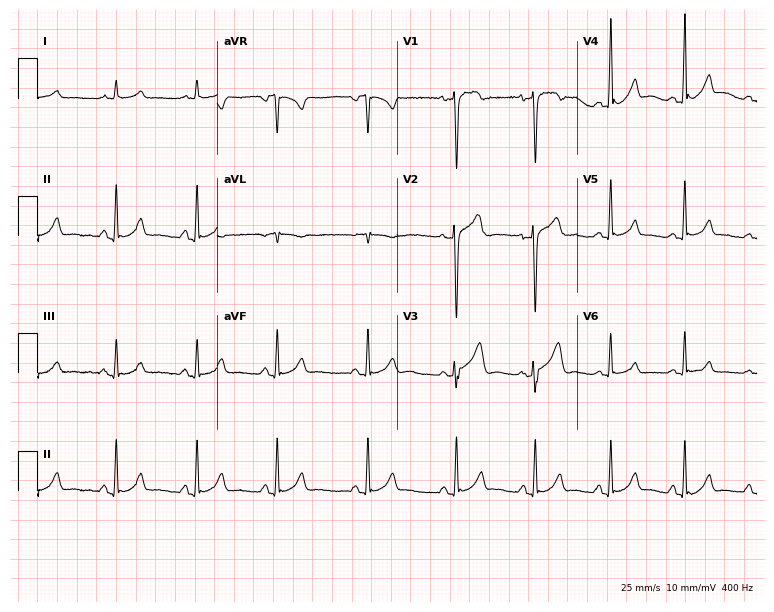
12-lead ECG (7.3-second recording at 400 Hz) from a 59-year-old man. Labelled as a normal ECG.